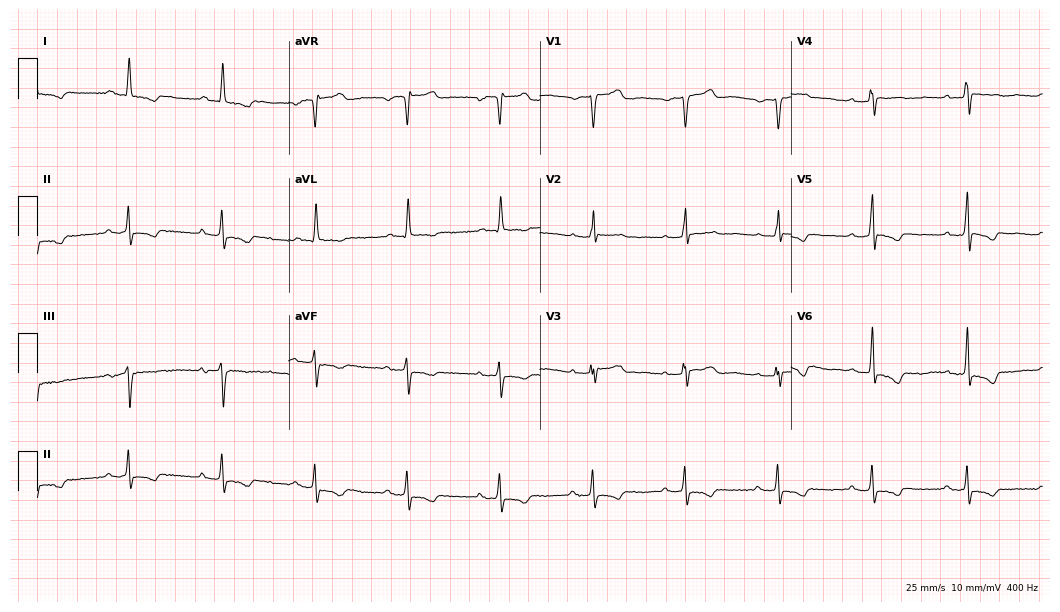
12-lead ECG from a 49-year-old man. No first-degree AV block, right bundle branch block, left bundle branch block, sinus bradycardia, atrial fibrillation or sinus tachycardia recorded for this tracing. Only these six findings were labelled.